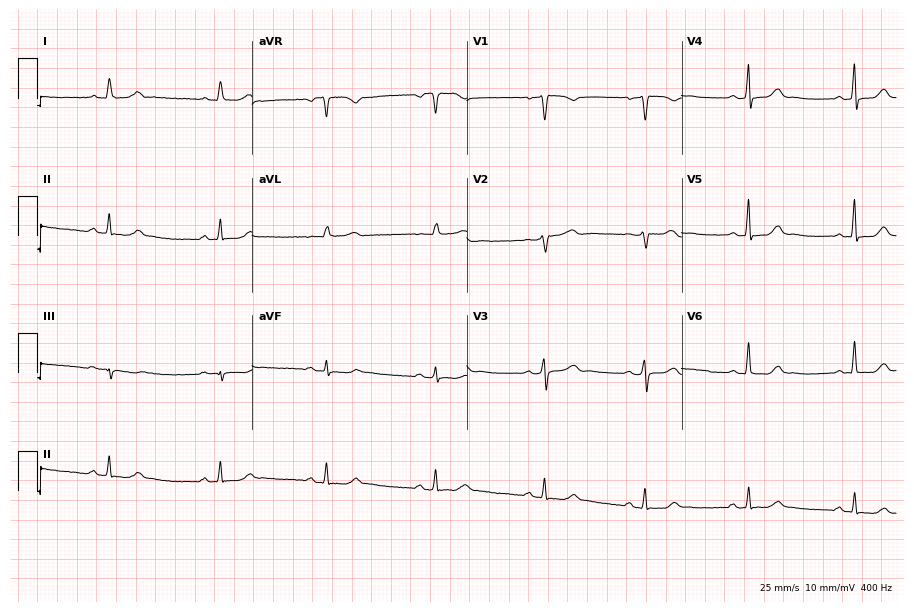
Resting 12-lead electrocardiogram. Patient: a female, 37 years old. None of these six findings is recorded: first-degree AV block, right bundle branch block (RBBB), left bundle branch block (LBBB), sinus bradycardia, atrial fibrillation (AF), sinus tachycardia. Other findings, if any, are not listed.